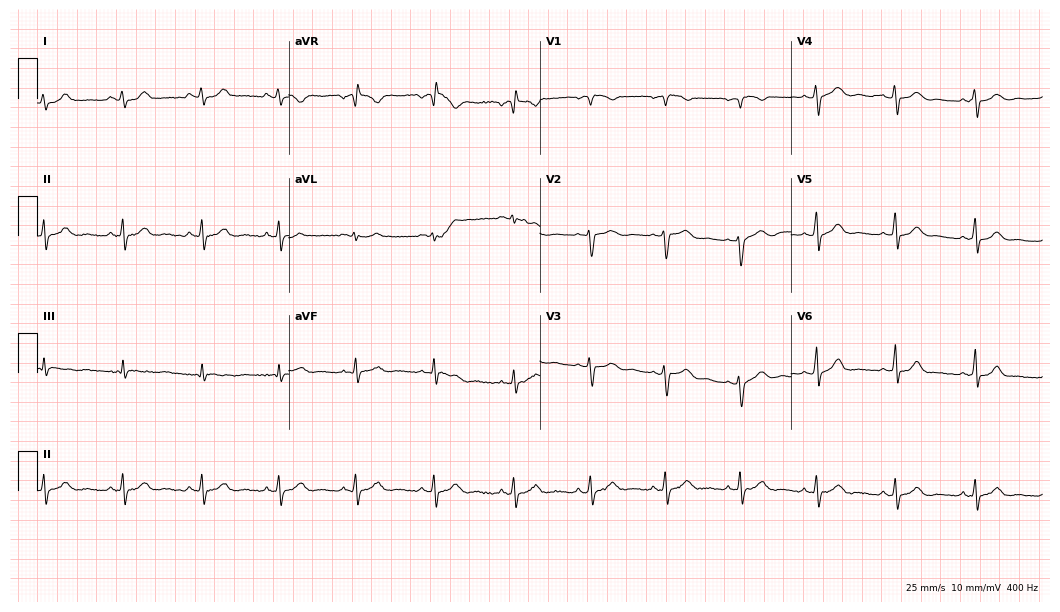
Standard 12-lead ECG recorded from a female, 23 years old. None of these six findings is recorded: first-degree AV block, right bundle branch block, left bundle branch block, sinus bradycardia, atrial fibrillation, sinus tachycardia.